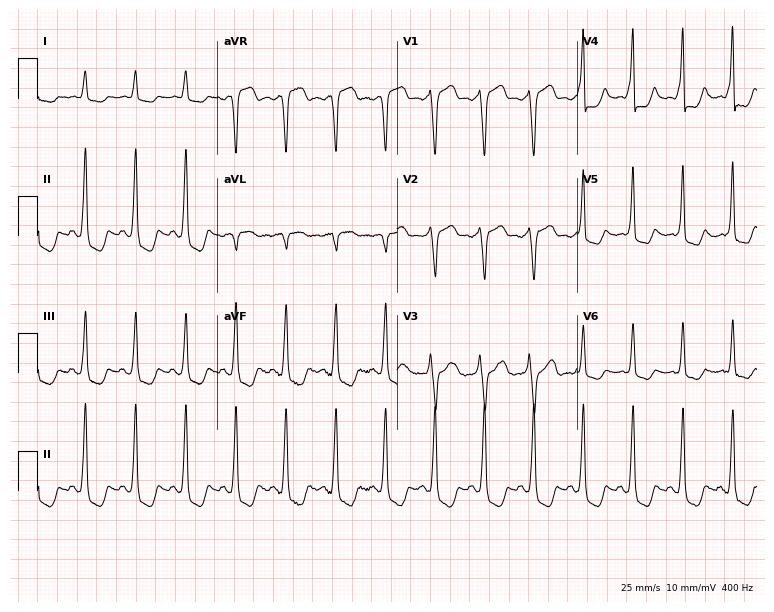
ECG (7.3-second recording at 400 Hz) — a 68-year-old male. Findings include sinus tachycardia (a sinus rate of 100 beats per minute or more).